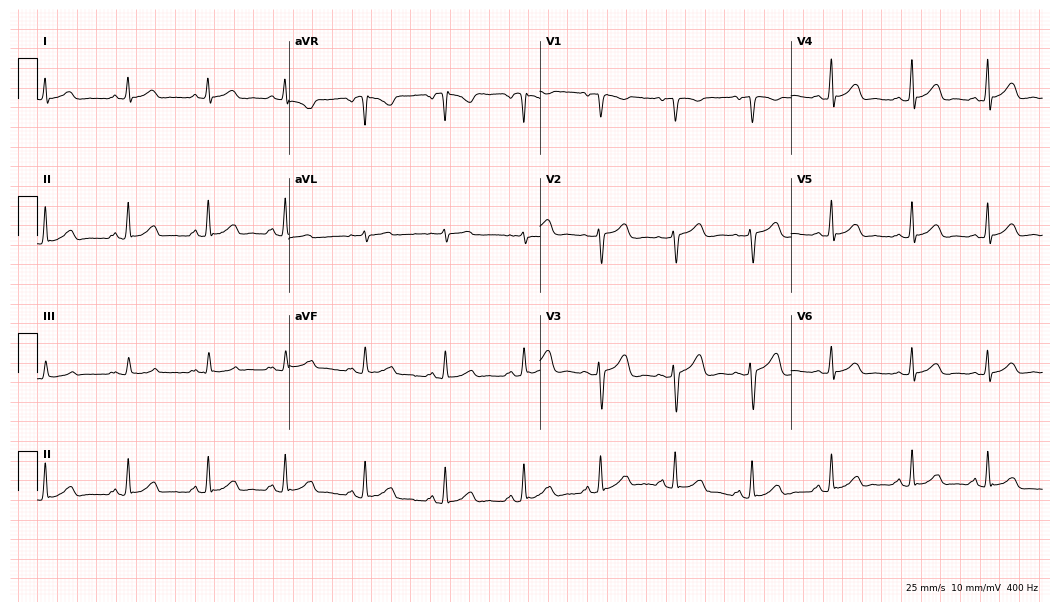
12-lead ECG from a 41-year-old female patient. No first-degree AV block, right bundle branch block, left bundle branch block, sinus bradycardia, atrial fibrillation or sinus tachycardia recorded for this tracing. Findings outside these six are not listed.